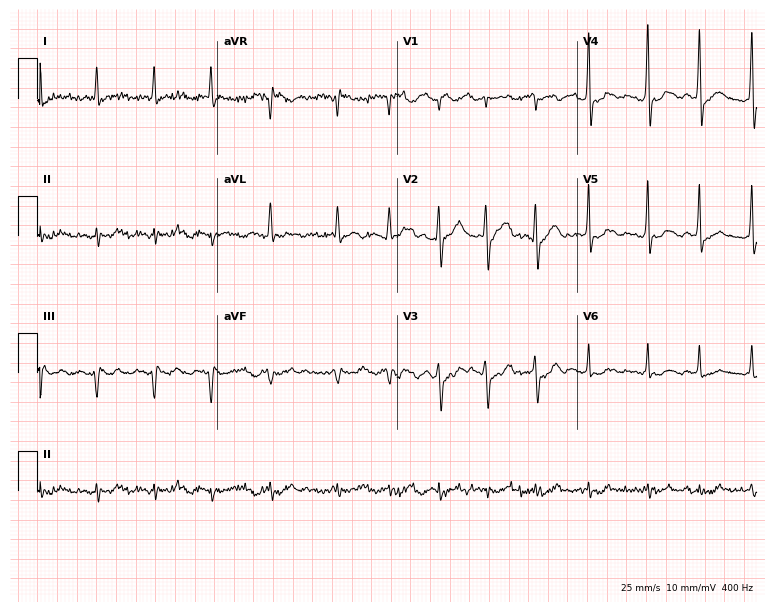
Electrocardiogram, a male, 75 years old. Of the six screened findings (first-degree AV block, right bundle branch block (RBBB), left bundle branch block (LBBB), sinus bradycardia, atrial fibrillation (AF), sinus tachycardia), none is recorded.